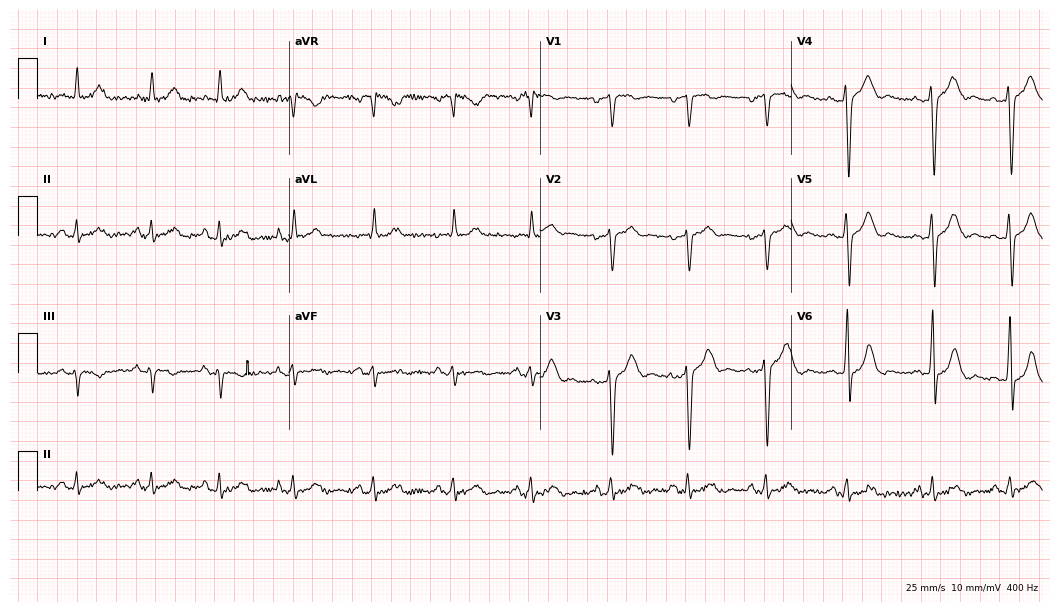
ECG — a 60-year-old male. Screened for six findings — first-degree AV block, right bundle branch block, left bundle branch block, sinus bradycardia, atrial fibrillation, sinus tachycardia — none is recorded.